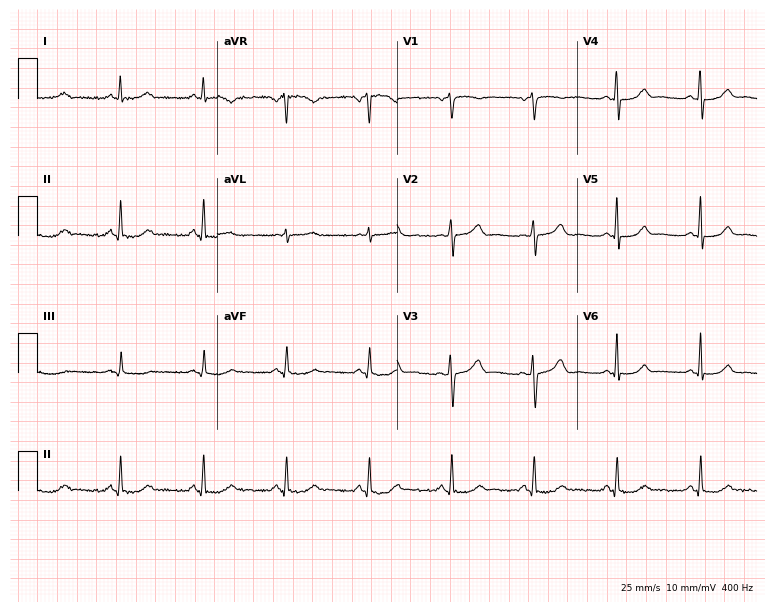
Electrocardiogram, a 61-year-old female. Overall reading on record: normal ECG.